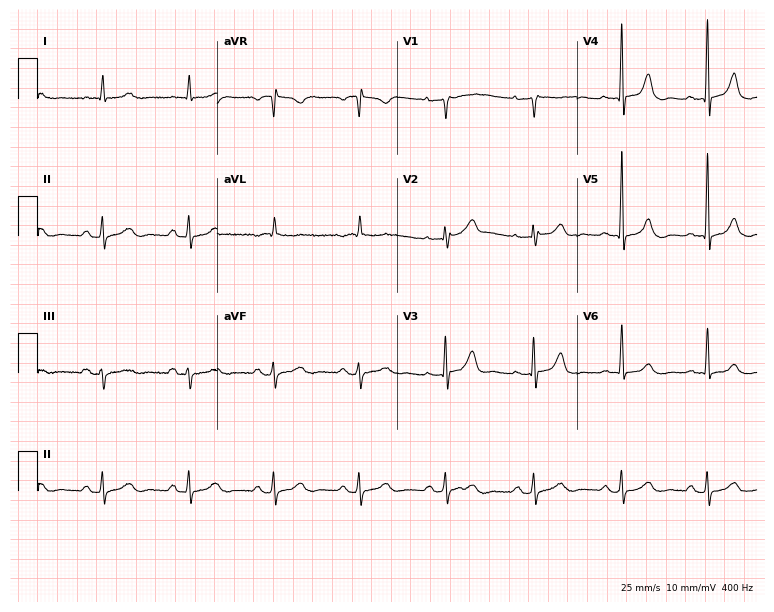
Resting 12-lead electrocardiogram (7.3-second recording at 400 Hz). Patient: a 72-year-old male. None of these six findings is recorded: first-degree AV block, right bundle branch block (RBBB), left bundle branch block (LBBB), sinus bradycardia, atrial fibrillation (AF), sinus tachycardia.